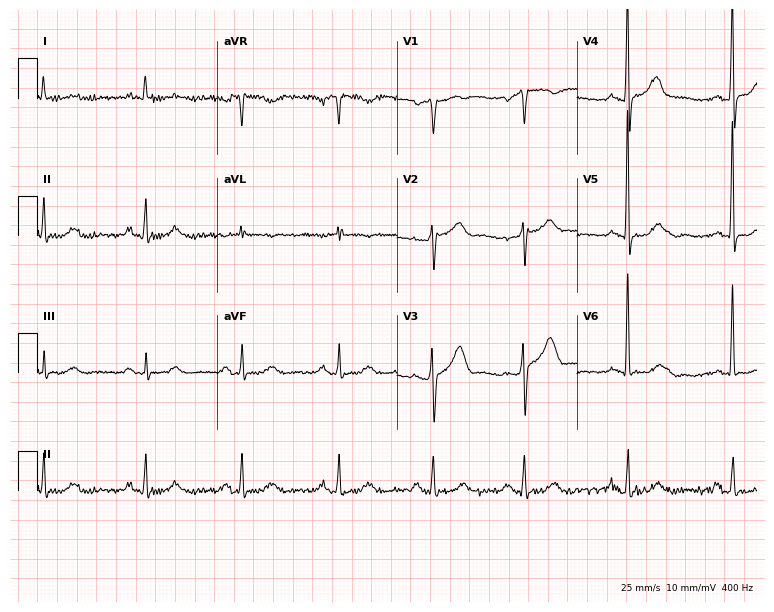
12-lead ECG from a male, 74 years old (7.3-second recording at 400 Hz). No first-degree AV block, right bundle branch block, left bundle branch block, sinus bradycardia, atrial fibrillation or sinus tachycardia recorded for this tracing. Other findings, if any, are not listed.